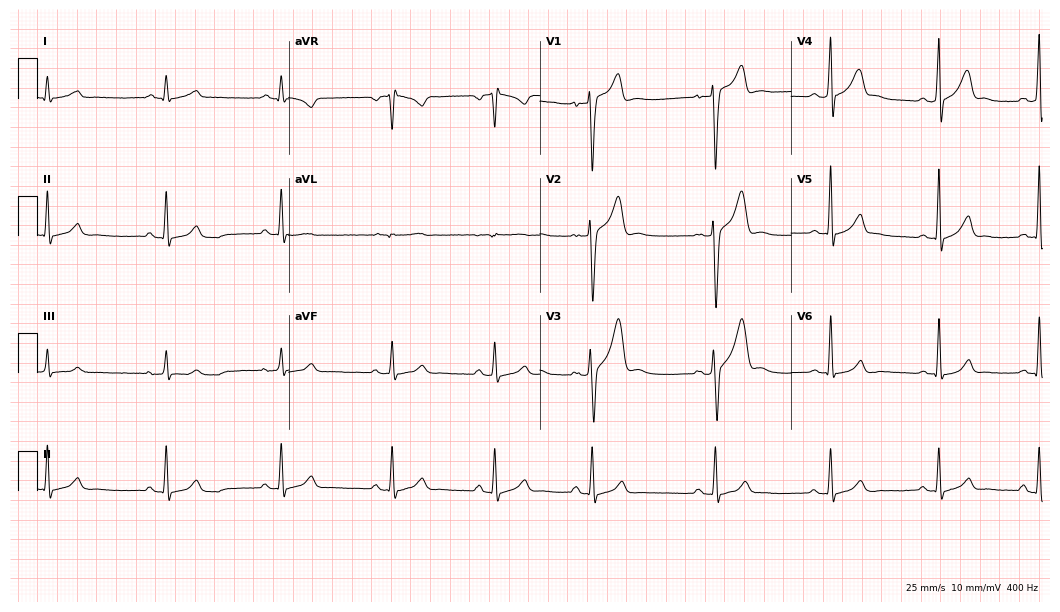
12-lead ECG from a 27-year-old male patient (10.2-second recording at 400 Hz). No first-degree AV block, right bundle branch block (RBBB), left bundle branch block (LBBB), sinus bradycardia, atrial fibrillation (AF) or sinus tachycardia recorded for this tracing.